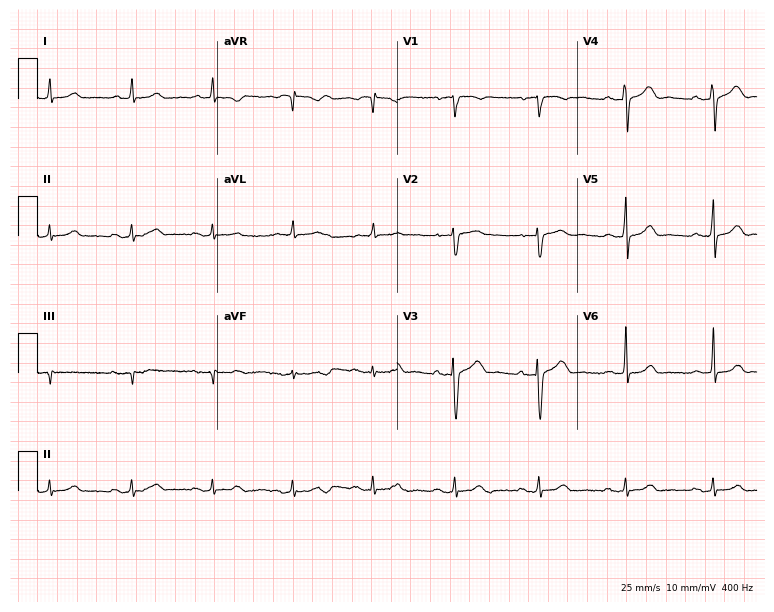
Standard 12-lead ECG recorded from a male patient, 56 years old. Read as a normal ECG.